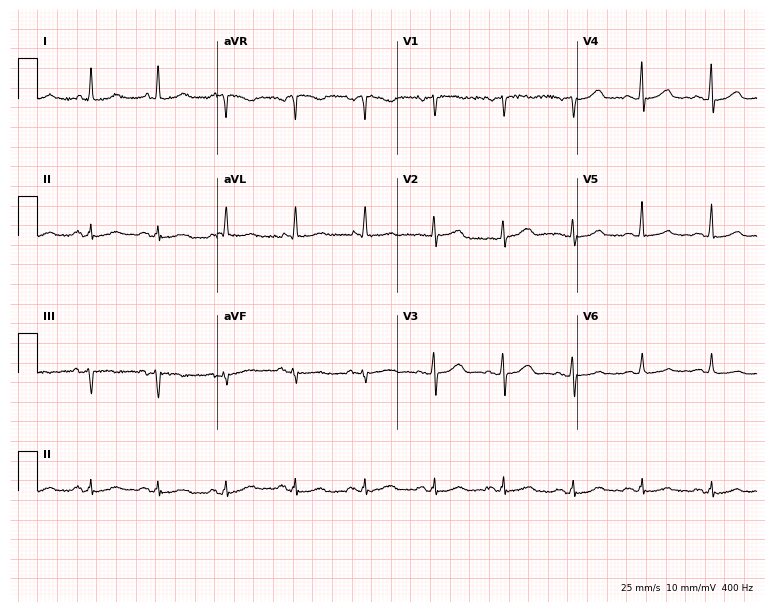
ECG (7.3-second recording at 400 Hz) — a female, 51 years old. Labelled as a normal ECG.